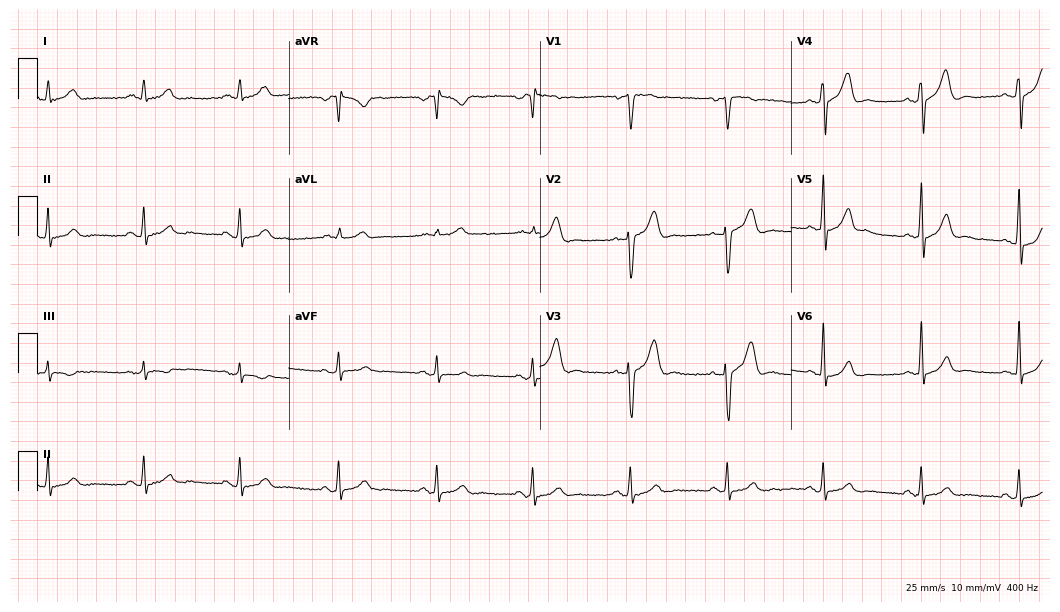
Resting 12-lead electrocardiogram (10.2-second recording at 400 Hz). Patient: a 50-year-old male. Read as a normal ECG.